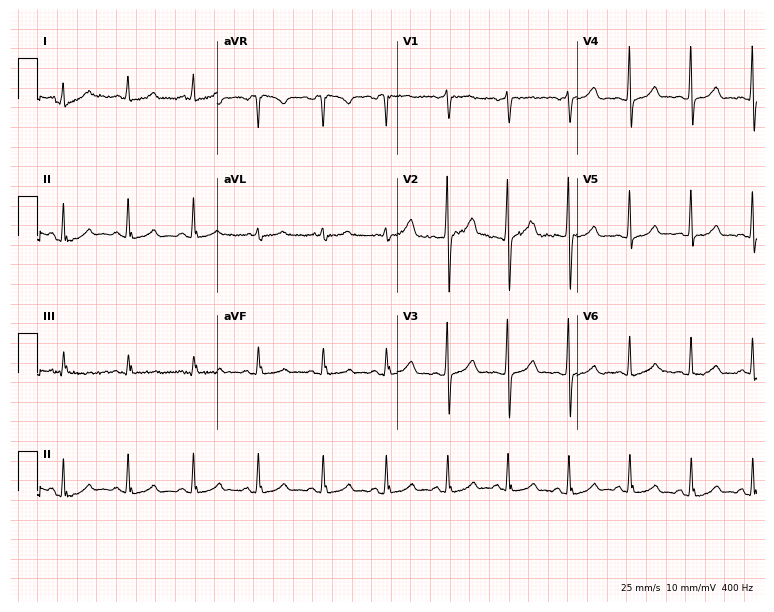
12-lead ECG from a female, 44 years old (7.3-second recording at 400 Hz). Recorded interpretation: within normal limits.